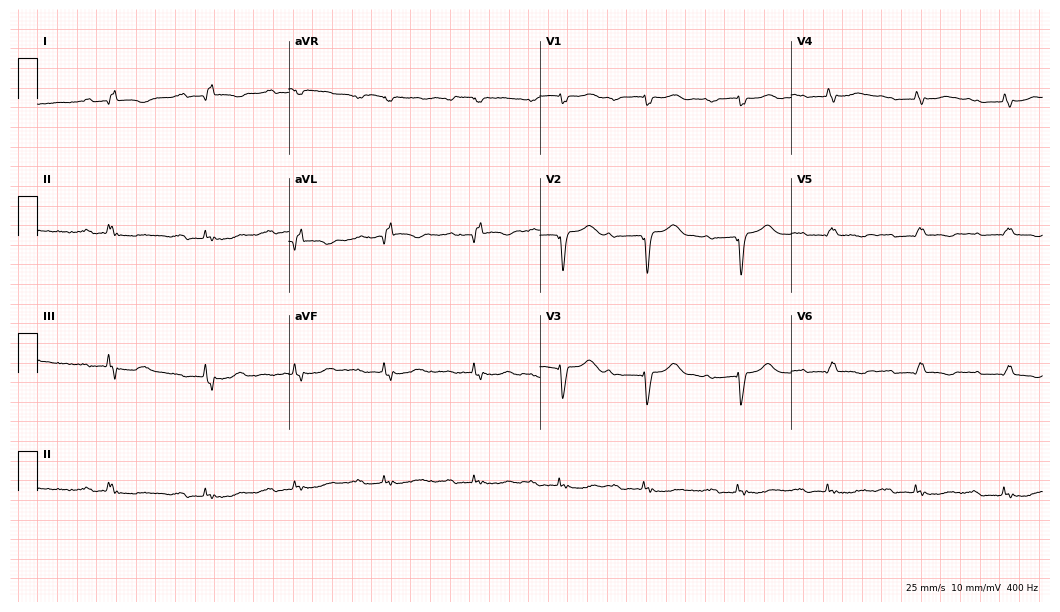
Resting 12-lead electrocardiogram (10.2-second recording at 400 Hz). Patient: a 76-year-old male. None of these six findings is recorded: first-degree AV block, right bundle branch block, left bundle branch block, sinus bradycardia, atrial fibrillation, sinus tachycardia.